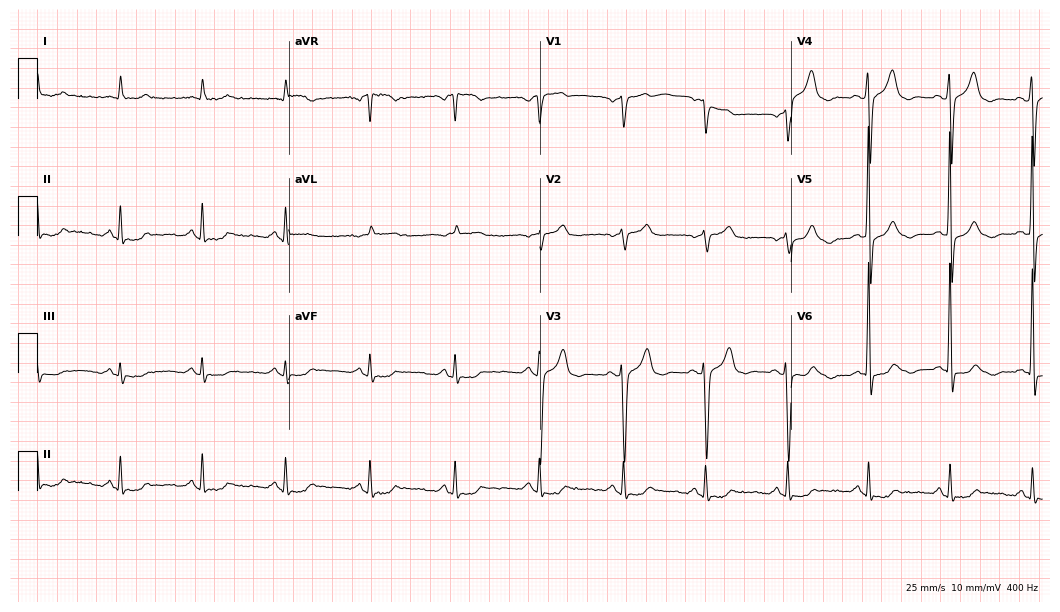
Electrocardiogram (10.2-second recording at 400 Hz), an 82-year-old man. Of the six screened findings (first-degree AV block, right bundle branch block, left bundle branch block, sinus bradycardia, atrial fibrillation, sinus tachycardia), none is recorded. Only these six findings were labelled.